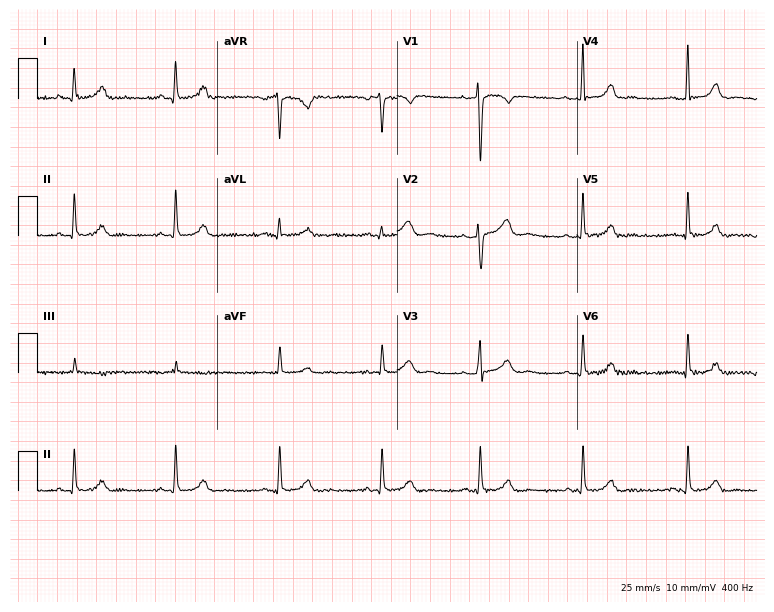
12-lead ECG from a 32-year-old female patient. Labelled as a normal ECG.